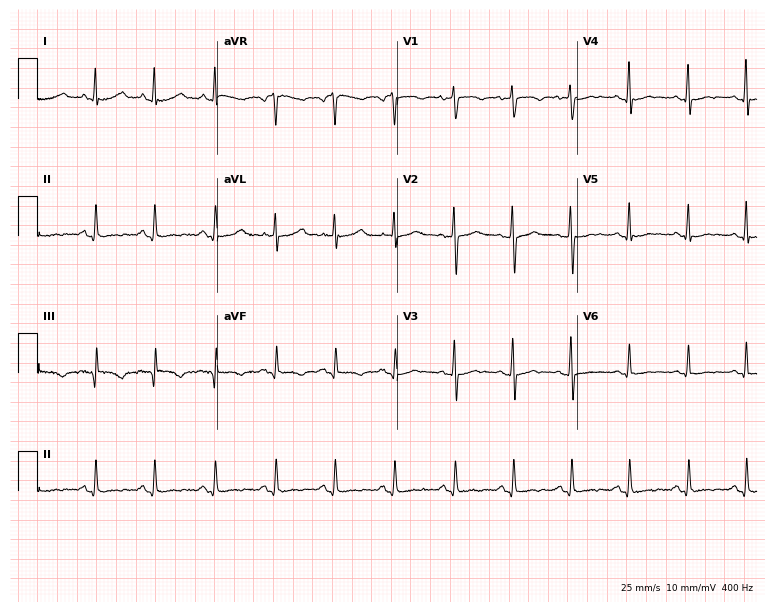
Electrocardiogram, a female, 45 years old. Overall reading on record: normal ECG.